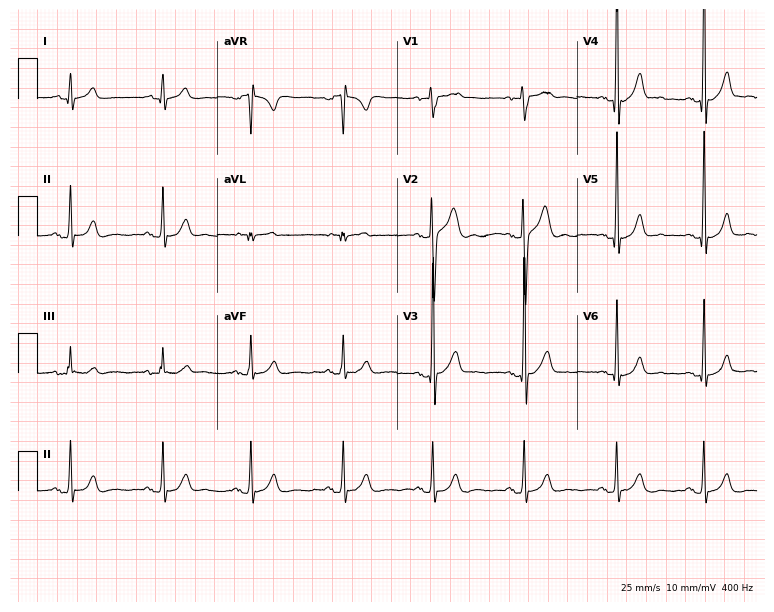
Electrocardiogram, a 17-year-old man. Overall reading on record: normal ECG.